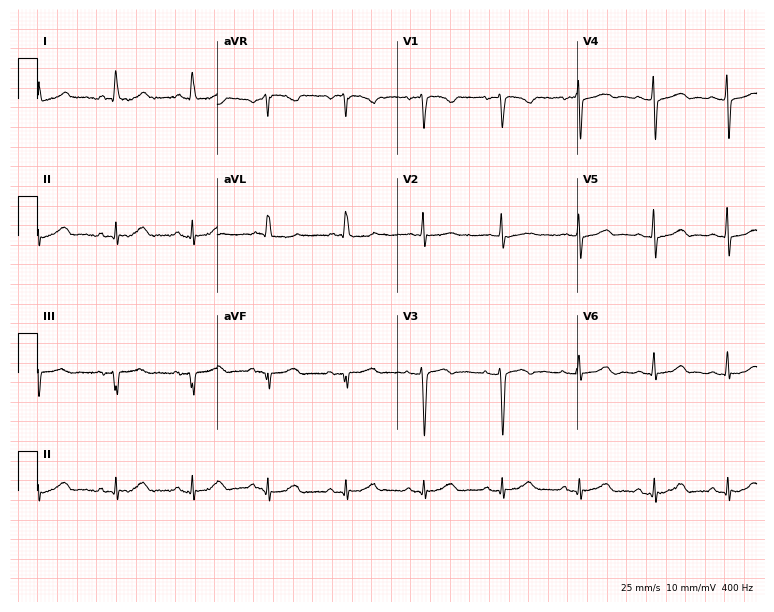
ECG (7.3-second recording at 400 Hz) — a 49-year-old female patient. Screened for six findings — first-degree AV block, right bundle branch block, left bundle branch block, sinus bradycardia, atrial fibrillation, sinus tachycardia — none is recorded. Only these six findings were labelled.